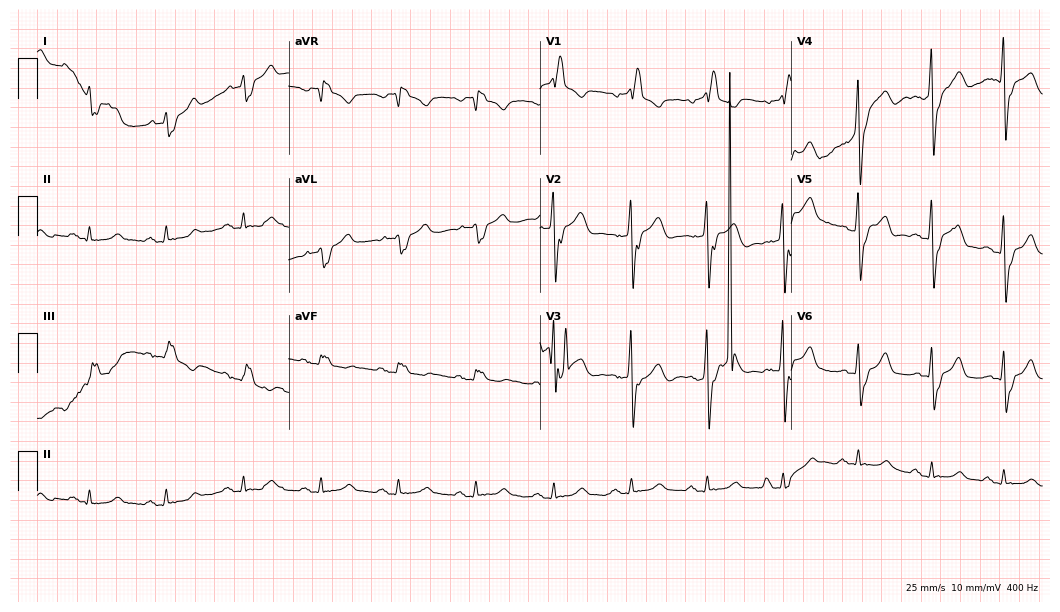
Resting 12-lead electrocardiogram (10.2-second recording at 400 Hz). Patient: a man, 64 years old. The tracing shows right bundle branch block.